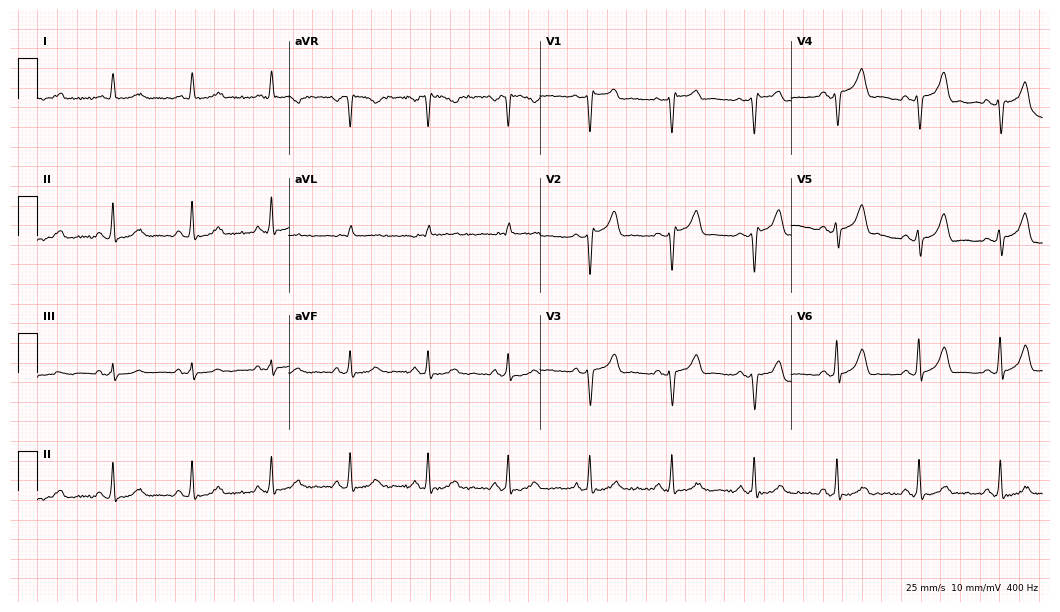
12-lead ECG from a 66-year-old male patient (10.2-second recording at 400 Hz). Recorded interpretation: within normal limits.